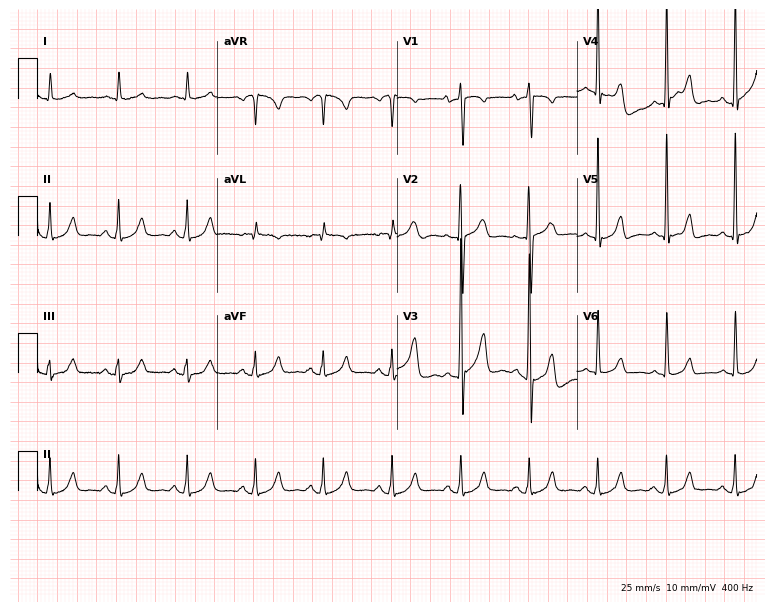
12-lead ECG from a 77-year-old male. Screened for six findings — first-degree AV block, right bundle branch block, left bundle branch block, sinus bradycardia, atrial fibrillation, sinus tachycardia — none is recorded.